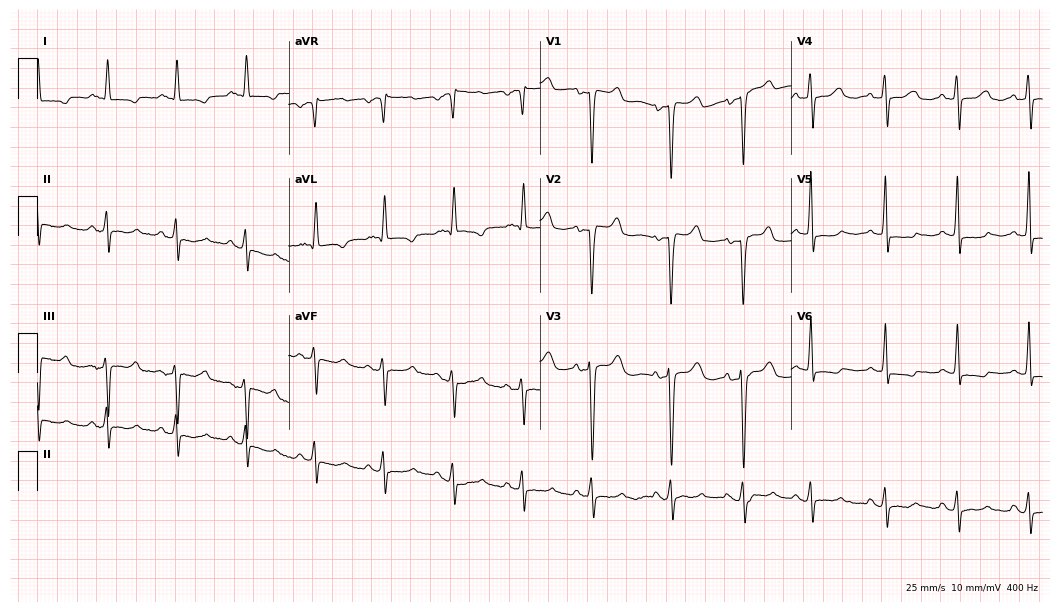
Resting 12-lead electrocardiogram (10.2-second recording at 400 Hz). Patient: a female, 68 years old. Read as a normal ECG.